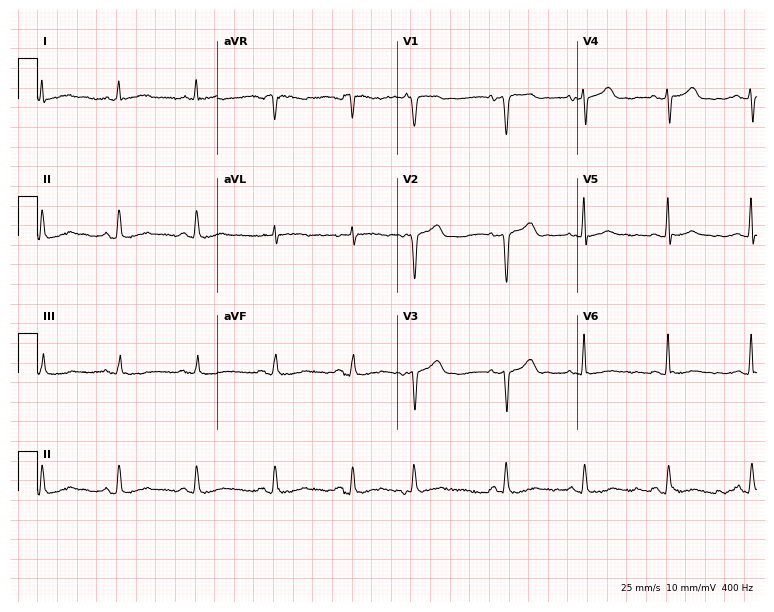
ECG — a man, 75 years old. Screened for six findings — first-degree AV block, right bundle branch block, left bundle branch block, sinus bradycardia, atrial fibrillation, sinus tachycardia — none is recorded.